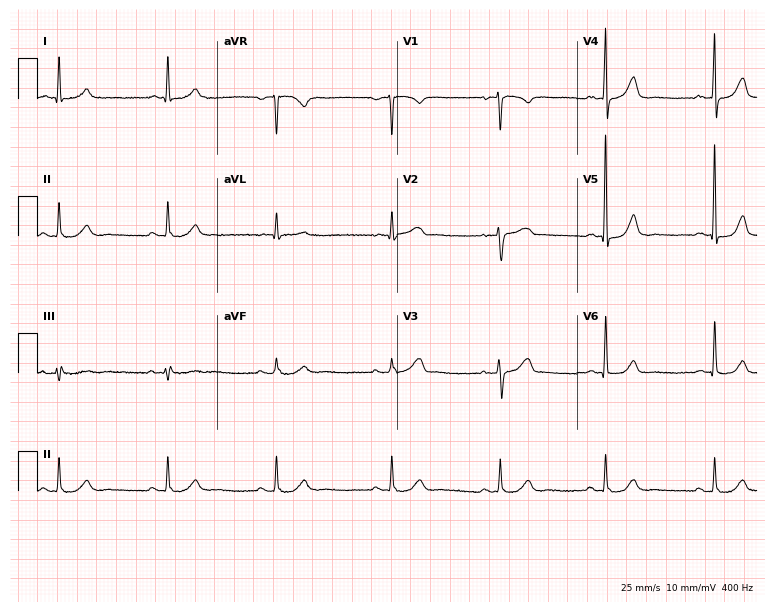
Standard 12-lead ECG recorded from a male patient, 67 years old (7.3-second recording at 400 Hz). Read as a normal ECG.